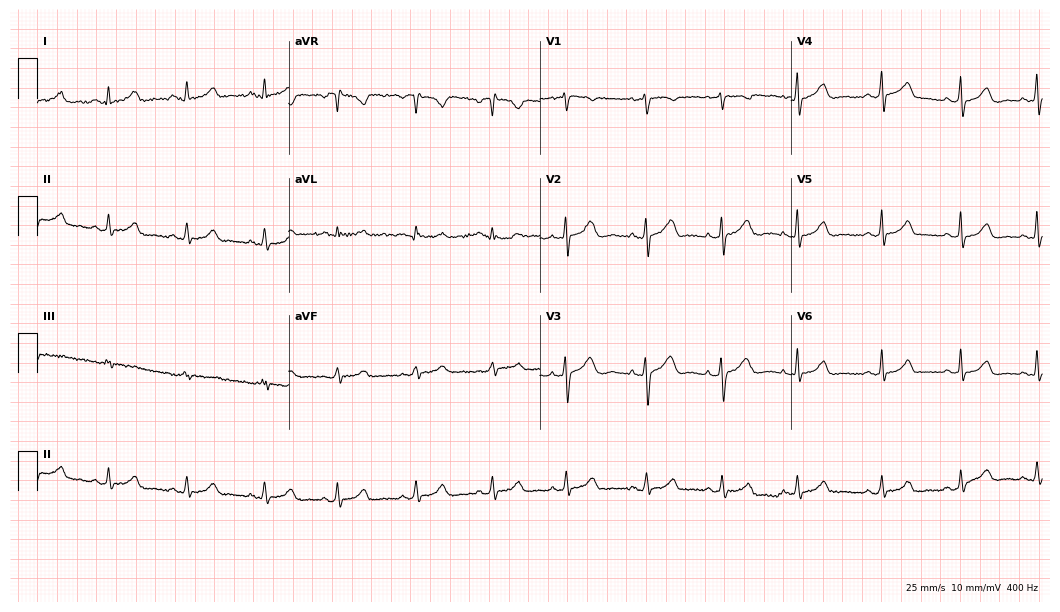
ECG — a female, 25 years old. Screened for six findings — first-degree AV block, right bundle branch block, left bundle branch block, sinus bradycardia, atrial fibrillation, sinus tachycardia — none is recorded.